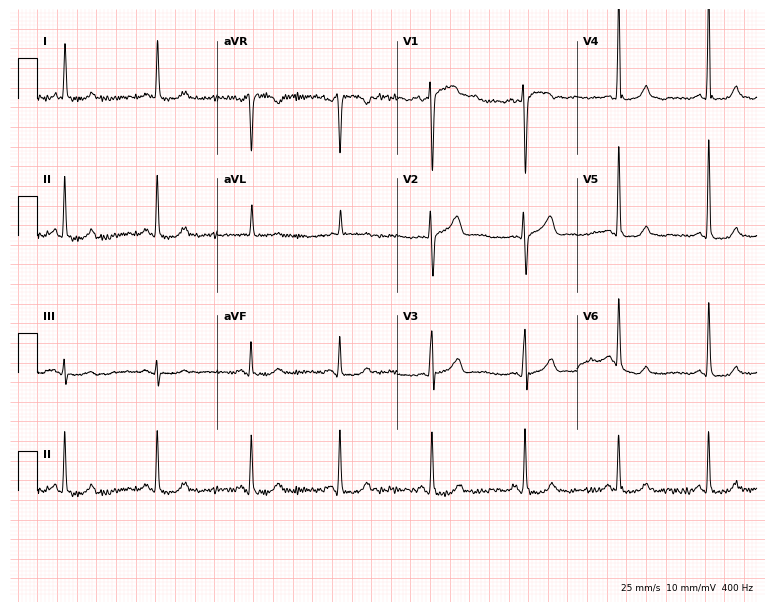
ECG (7.3-second recording at 400 Hz) — a 54-year-old woman. Screened for six findings — first-degree AV block, right bundle branch block, left bundle branch block, sinus bradycardia, atrial fibrillation, sinus tachycardia — none is recorded. Only these six findings were labelled.